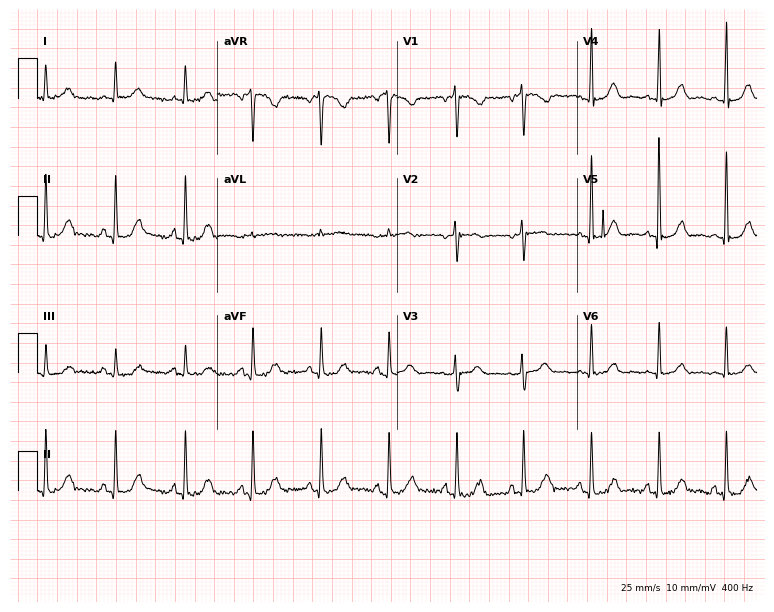
12-lead ECG (7.3-second recording at 400 Hz) from a woman, 77 years old. Labelled as a normal ECG.